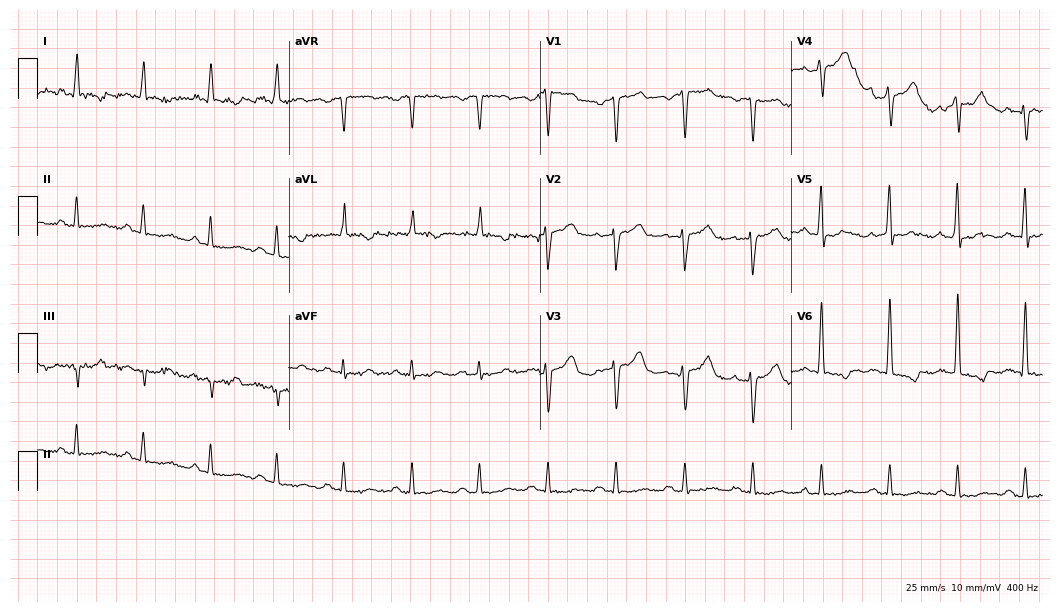
Resting 12-lead electrocardiogram. Patient: a male, 76 years old. None of these six findings is recorded: first-degree AV block, right bundle branch block, left bundle branch block, sinus bradycardia, atrial fibrillation, sinus tachycardia.